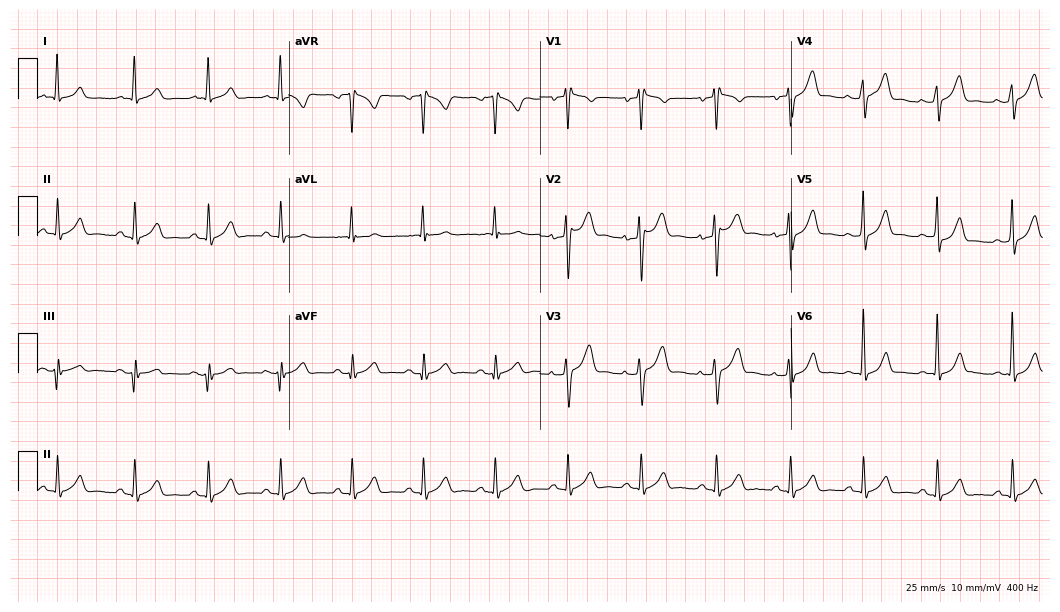
ECG (10.2-second recording at 400 Hz) — a 40-year-old male. Screened for six findings — first-degree AV block, right bundle branch block, left bundle branch block, sinus bradycardia, atrial fibrillation, sinus tachycardia — none is recorded. Other findings, if any, are not listed.